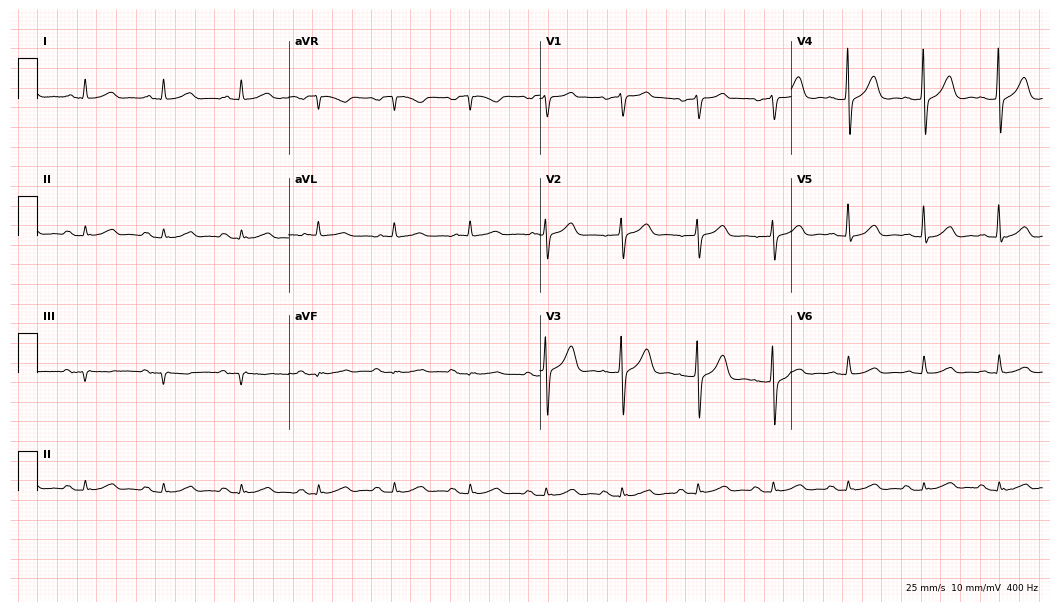
12-lead ECG from a 70-year-old man. No first-degree AV block, right bundle branch block (RBBB), left bundle branch block (LBBB), sinus bradycardia, atrial fibrillation (AF) or sinus tachycardia recorded for this tracing. Only these six findings were labelled.